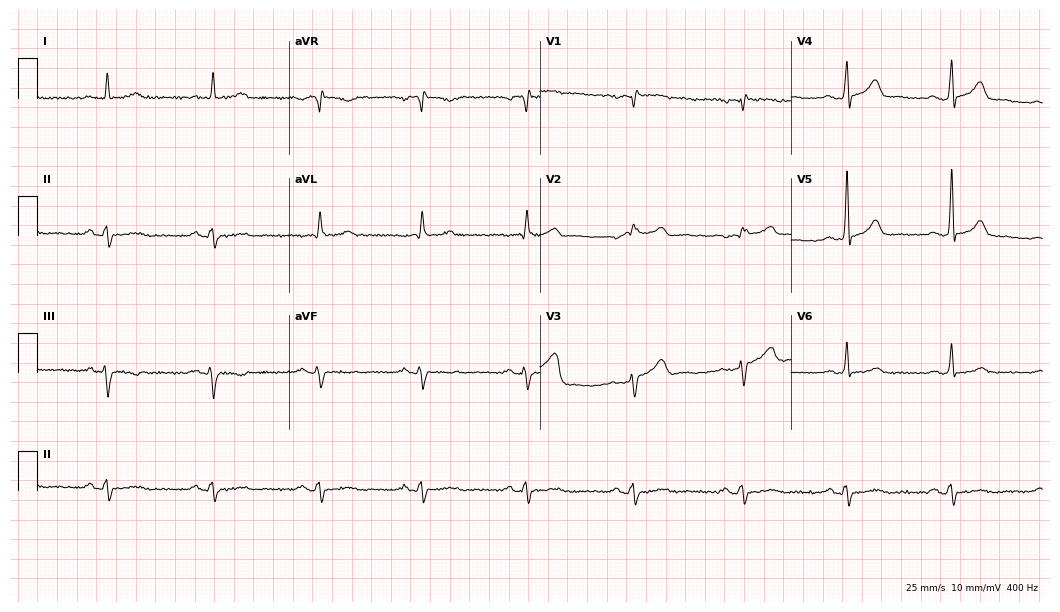
Electrocardiogram, a 58-year-old man. Of the six screened findings (first-degree AV block, right bundle branch block, left bundle branch block, sinus bradycardia, atrial fibrillation, sinus tachycardia), none is recorded.